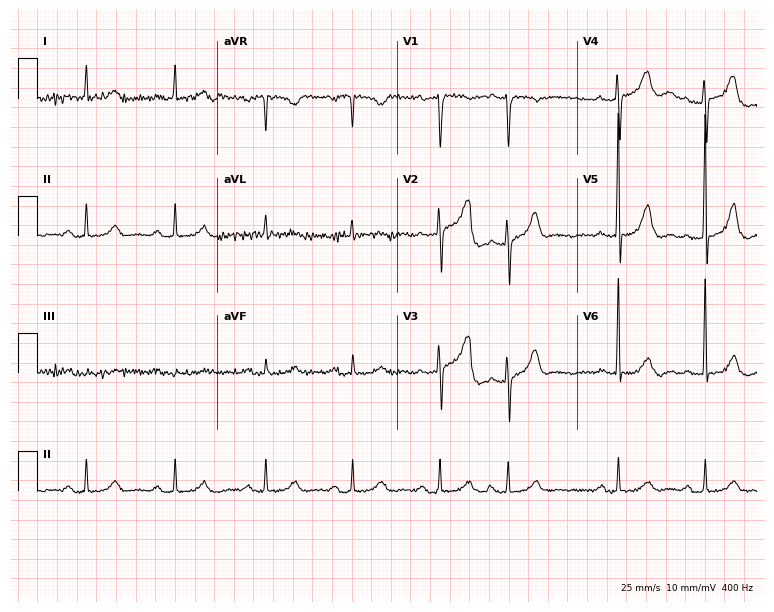
Electrocardiogram (7.3-second recording at 400 Hz), an 84-year-old male patient. Of the six screened findings (first-degree AV block, right bundle branch block (RBBB), left bundle branch block (LBBB), sinus bradycardia, atrial fibrillation (AF), sinus tachycardia), none is recorded. Findings outside these six are not listed.